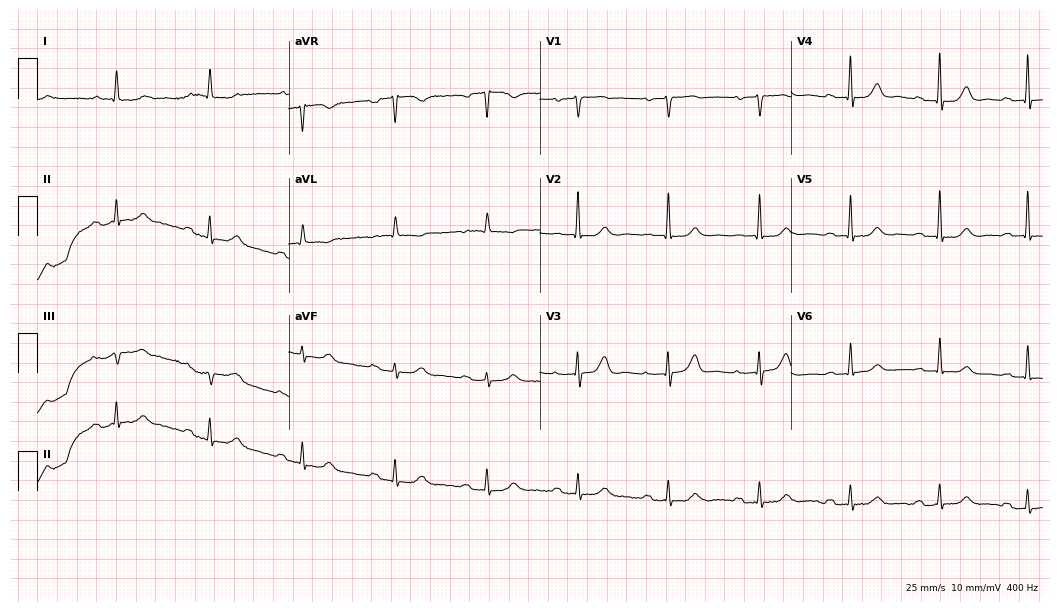
12-lead ECG from an 85-year-old woman. Labelled as a normal ECG.